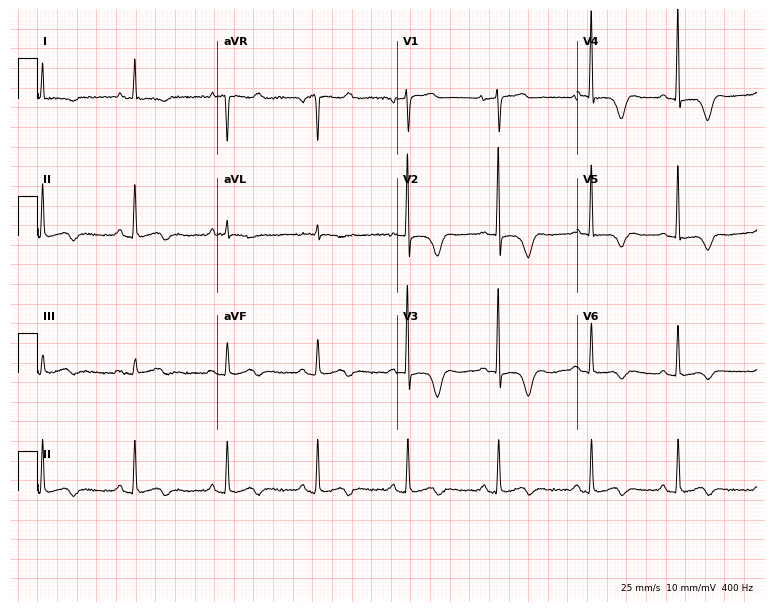
Electrocardiogram (7.3-second recording at 400 Hz), a 71-year-old woman. Of the six screened findings (first-degree AV block, right bundle branch block (RBBB), left bundle branch block (LBBB), sinus bradycardia, atrial fibrillation (AF), sinus tachycardia), none is recorded. Findings outside these six are not listed.